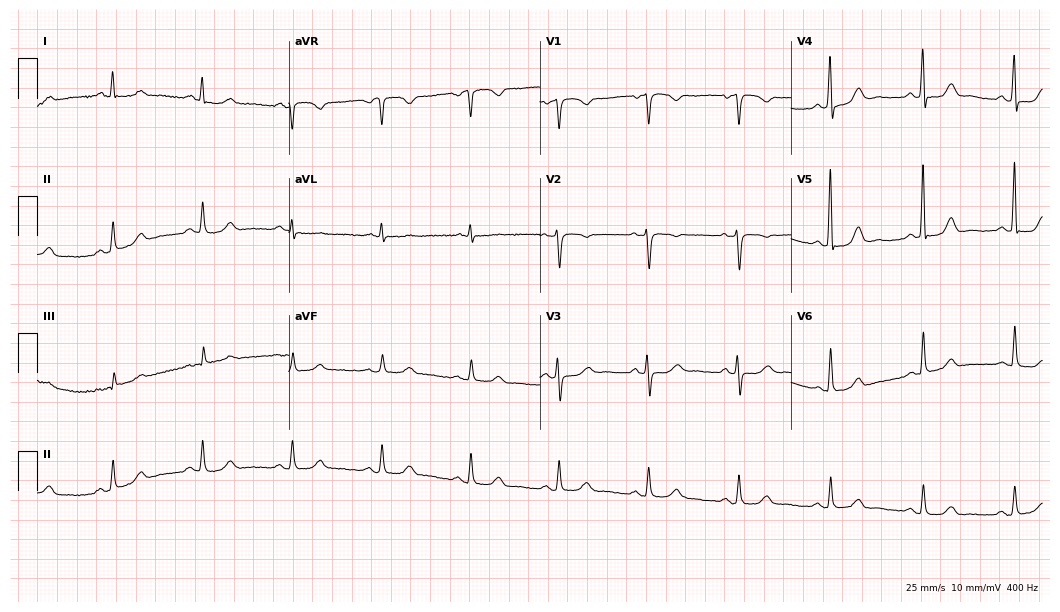
12-lead ECG (10.2-second recording at 400 Hz) from a 73-year-old female patient. Labelled as a normal ECG.